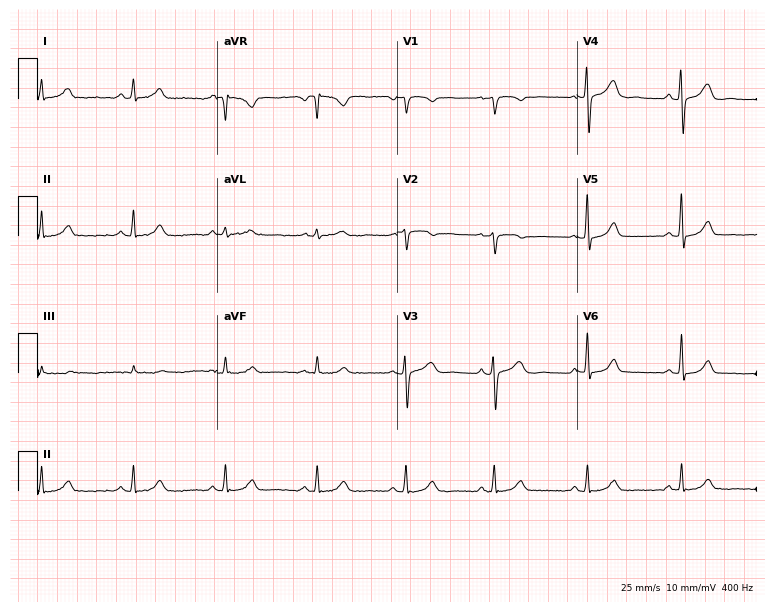
Resting 12-lead electrocardiogram (7.3-second recording at 400 Hz). Patient: a woman, 50 years old. None of these six findings is recorded: first-degree AV block, right bundle branch block, left bundle branch block, sinus bradycardia, atrial fibrillation, sinus tachycardia. Findings outside these six are not listed.